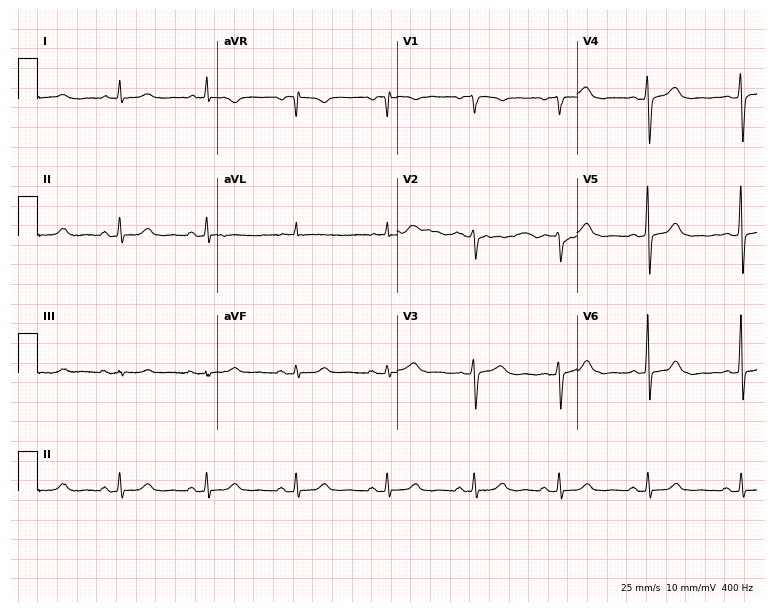
12-lead ECG from a 51-year-old woman. Screened for six findings — first-degree AV block, right bundle branch block, left bundle branch block, sinus bradycardia, atrial fibrillation, sinus tachycardia — none is recorded.